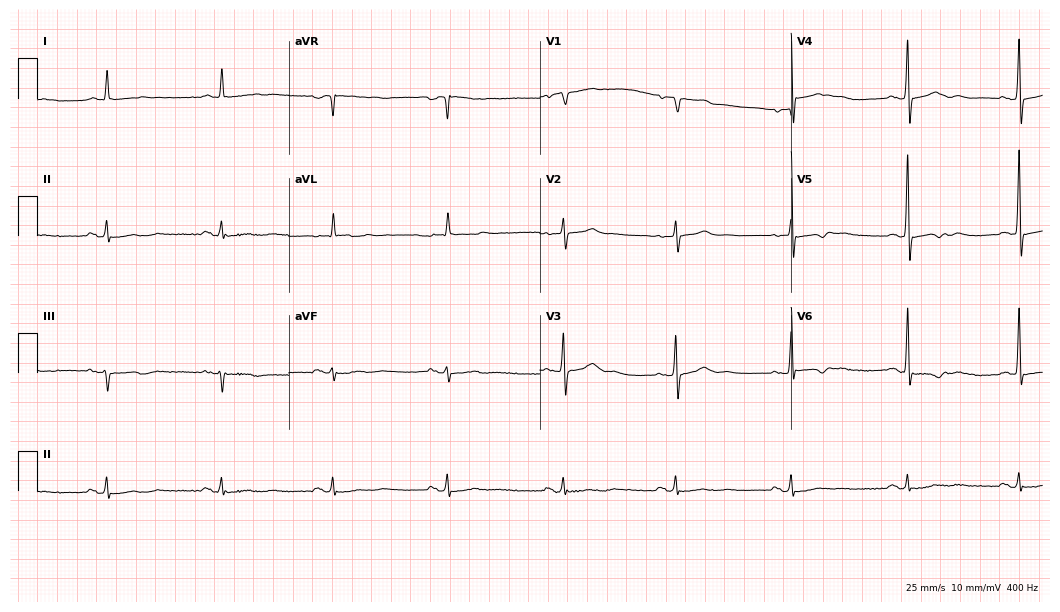
Resting 12-lead electrocardiogram (10.2-second recording at 400 Hz). Patient: a male, 60 years old. None of these six findings is recorded: first-degree AV block, right bundle branch block (RBBB), left bundle branch block (LBBB), sinus bradycardia, atrial fibrillation (AF), sinus tachycardia. Only these six findings were labelled.